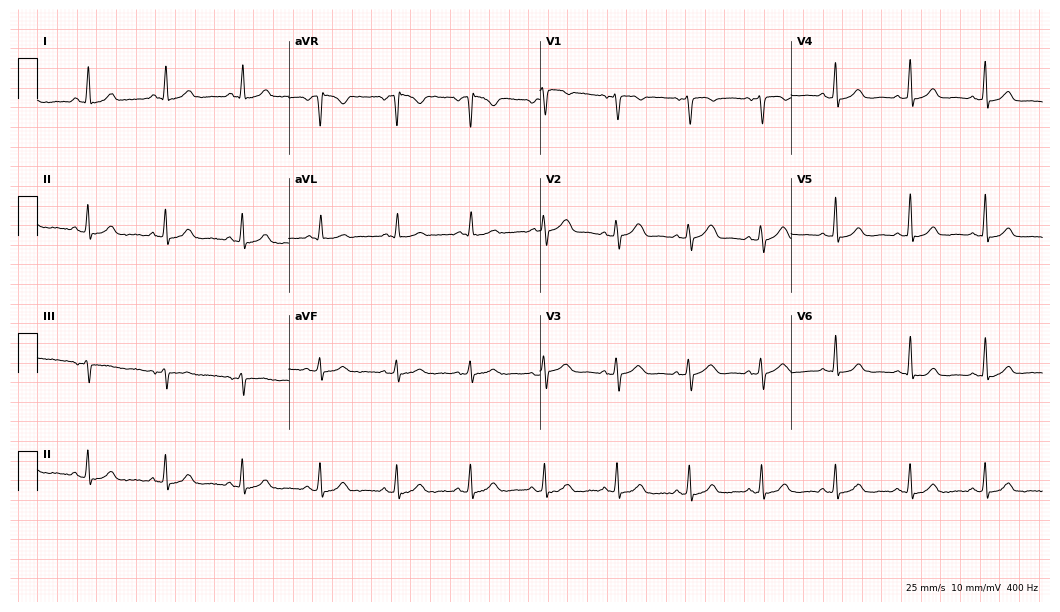
12-lead ECG from a woman, 62 years old (10.2-second recording at 400 Hz). No first-degree AV block, right bundle branch block, left bundle branch block, sinus bradycardia, atrial fibrillation or sinus tachycardia recorded for this tracing. Only these six findings were labelled.